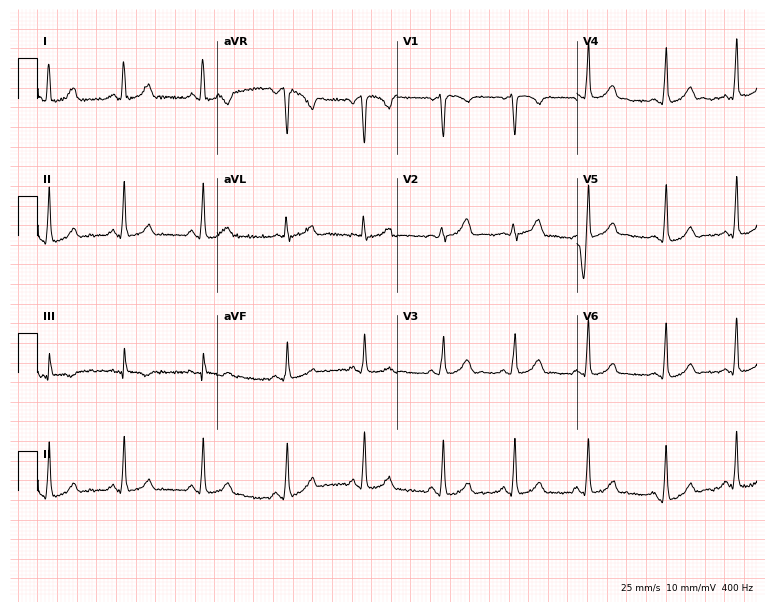
Resting 12-lead electrocardiogram. Patient: a 27-year-old female. None of these six findings is recorded: first-degree AV block, right bundle branch block, left bundle branch block, sinus bradycardia, atrial fibrillation, sinus tachycardia.